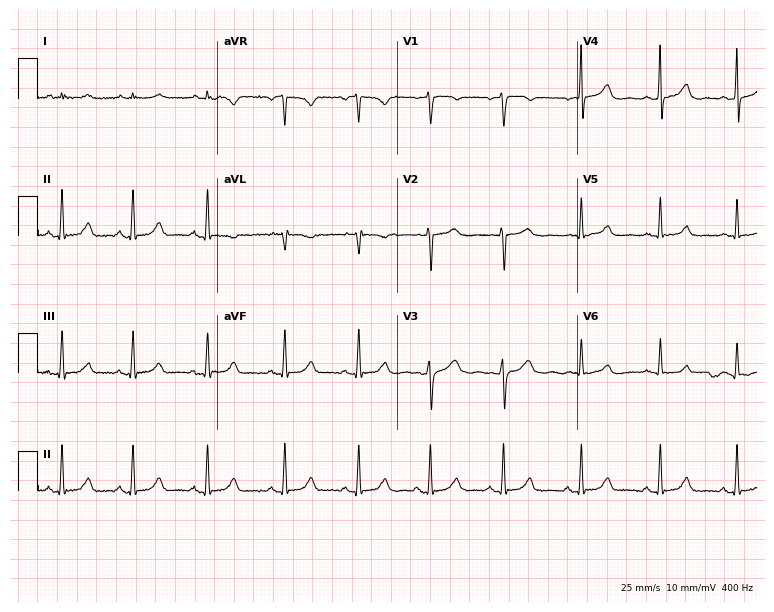
12-lead ECG from a 41-year-old woman. No first-degree AV block, right bundle branch block, left bundle branch block, sinus bradycardia, atrial fibrillation or sinus tachycardia recorded for this tracing. Other findings, if any, are not listed.